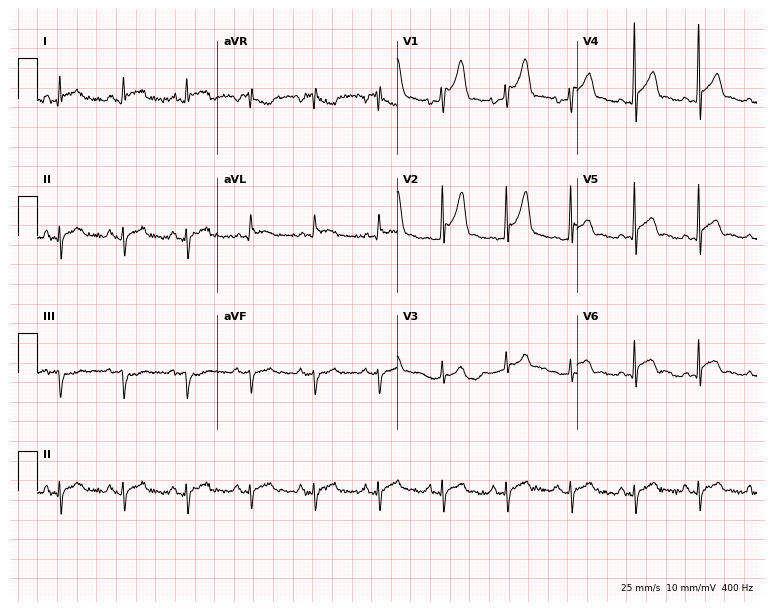
12-lead ECG (7.3-second recording at 400 Hz) from a man, 69 years old. Screened for six findings — first-degree AV block, right bundle branch block, left bundle branch block, sinus bradycardia, atrial fibrillation, sinus tachycardia — none is recorded. Other findings, if any, are not listed.